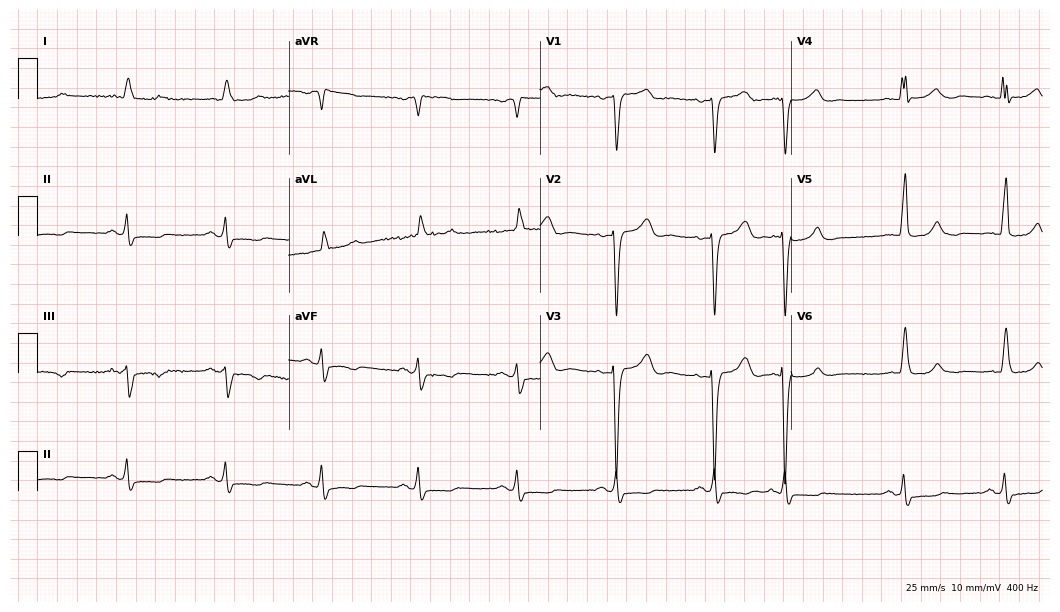
Resting 12-lead electrocardiogram. Patient: an 81-year-old male. None of these six findings is recorded: first-degree AV block, right bundle branch block, left bundle branch block, sinus bradycardia, atrial fibrillation, sinus tachycardia.